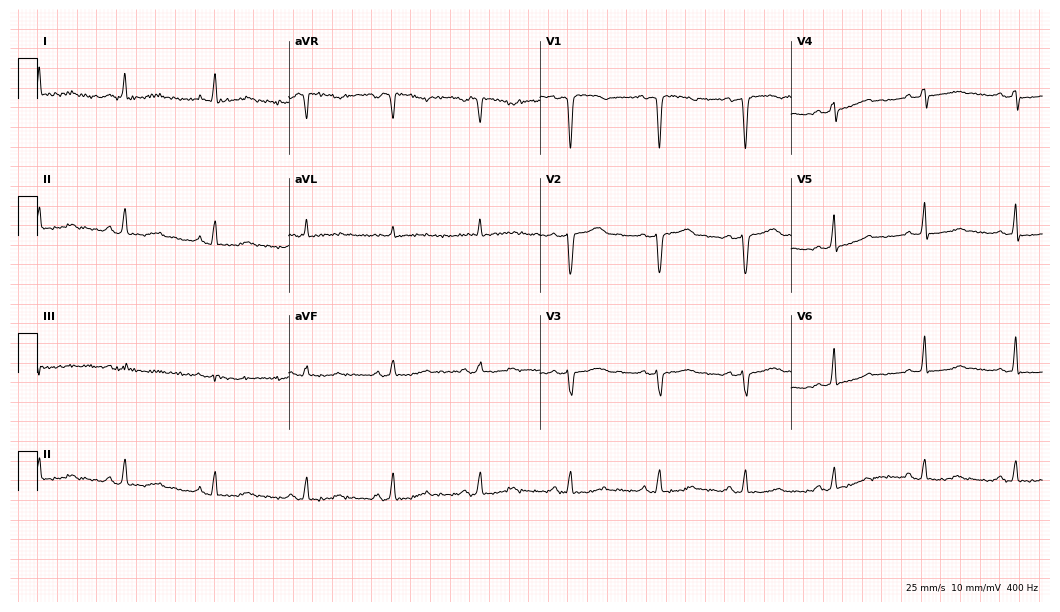
12-lead ECG from a 63-year-old woman. Screened for six findings — first-degree AV block, right bundle branch block, left bundle branch block, sinus bradycardia, atrial fibrillation, sinus tachycardia — none is recorded. Other findings, if any, are not listed.